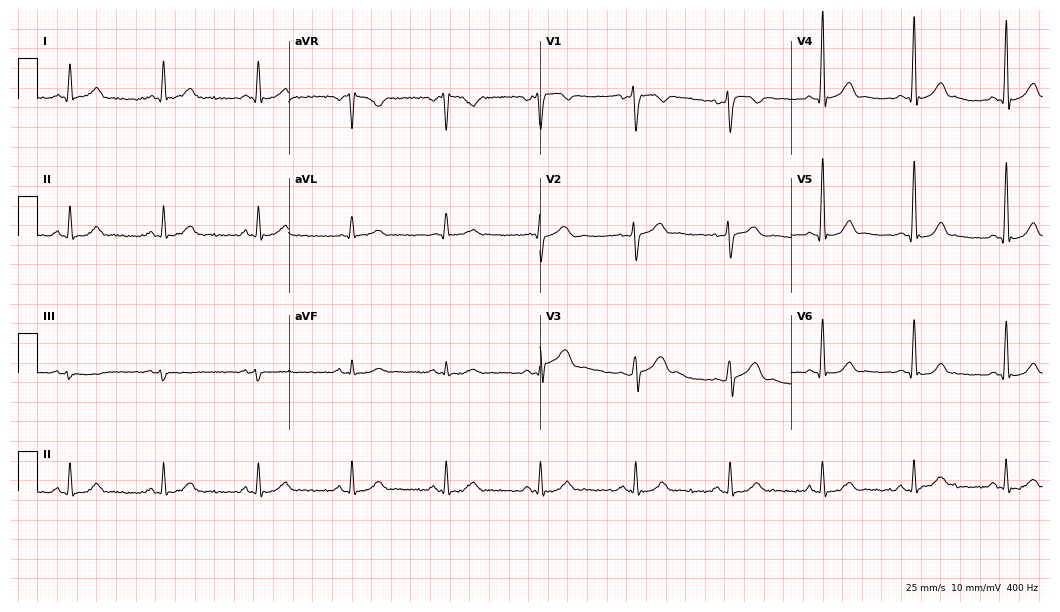
12-lead ECG from a 47-year-old man (10.2-second recording at 400 Hz). Recorded interpretation: within normal limits.